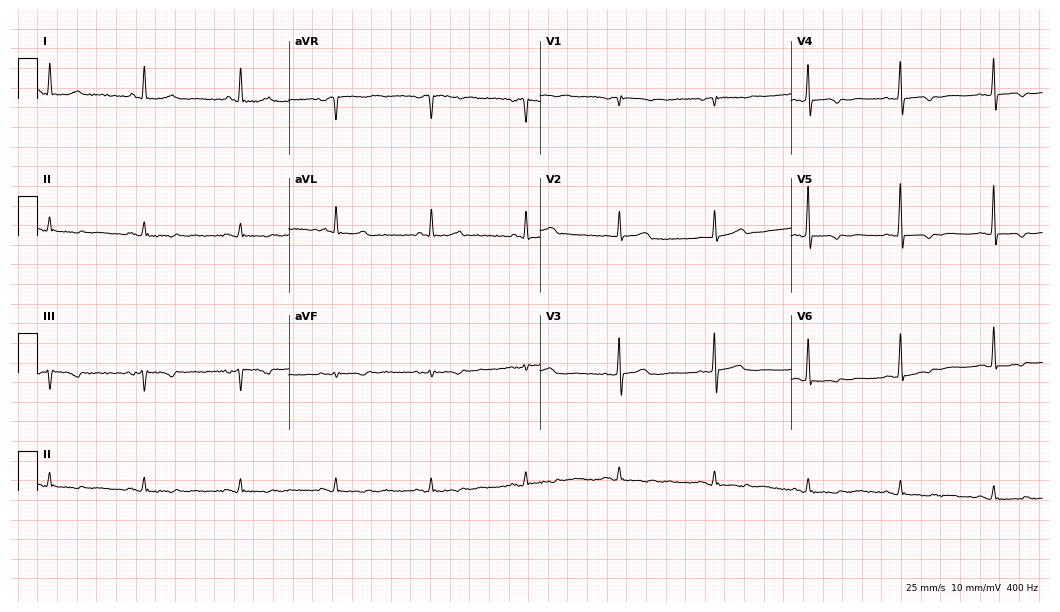
12-lead ECG from a 77-year-old female. No first-degree AV block, right bundle branch block, left bundle branch block, sinus bradycardia, atrial fibrillation or sinus tachycardia recorded for this tracing.